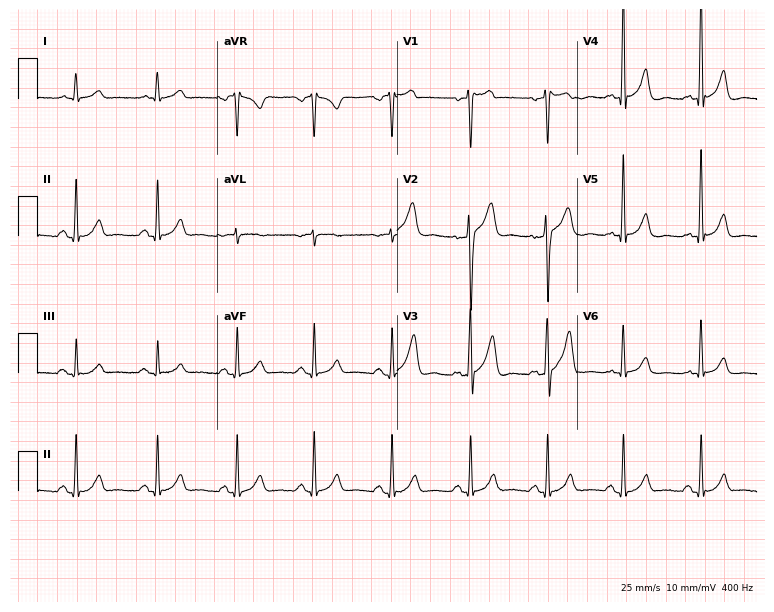
Resting 12-lead electrocardiogram. Patient: a 71-year-old male. None of these six findings is recorded: first-degree AV block, right bundle branch block, left bundle branch block, sinus bradycardia, atrial fibrillation, sinus tachycardia.